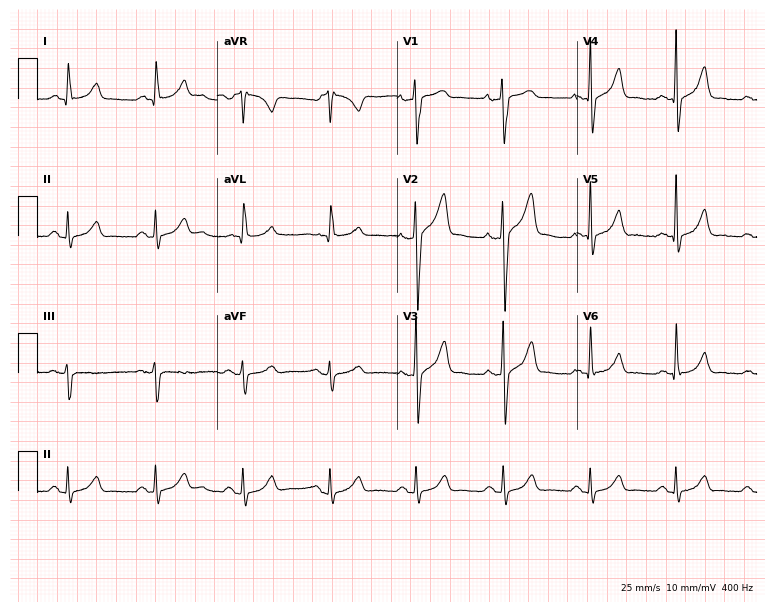
ECG — a male patient, 59 years old. Screened for six findings — first-degree AV block, right bundle branch block, left bundle branch block, sinus bradycardia, atrial fibrillation, sinus tachycardia — none is recorded.